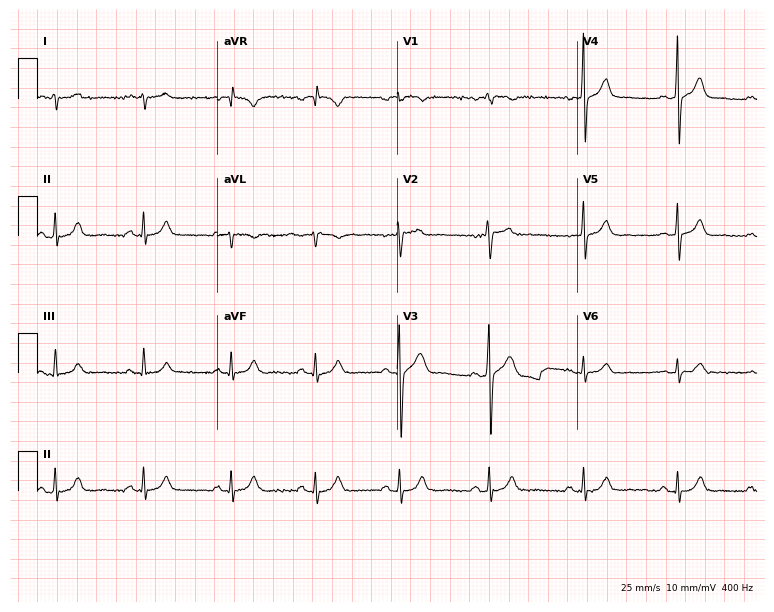
Resting 12-lead electrocardiogram (7.3-second recording at 400 Hz). Patient: a 27-year-old male. None of these six findings is recorded: first-degree AV block, right bundle branch block (RBBB), left bundle branch block (LBBB), sinus bradycardia, atrial fibrillation (AF), sinus tachycardia.